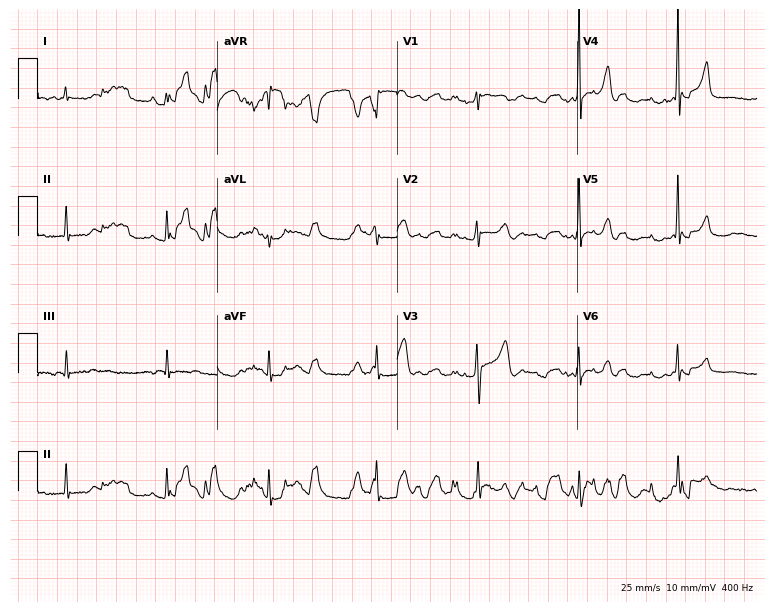
Standard 12-lead ECG recorded from a 48-year-old female patient. None of these six findings is recorded: first-degree AV block, right bundle branch block, left bundle branch block, sinus bradycardia, atrial fibrillation, sinus tachycardia.